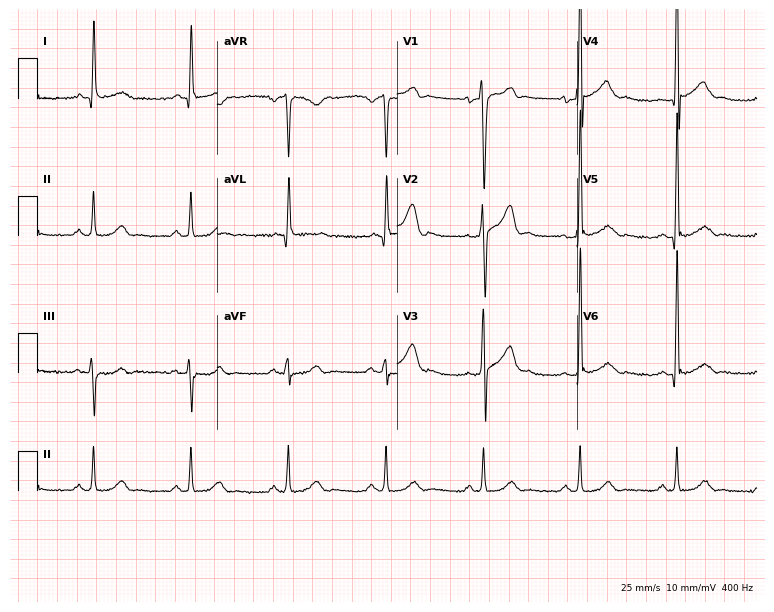
Resting 12-lead electrocardiogram. Patient: a 63-year-old male. None of these six findings is recorded: first-degree AV block, right bundle branch block, left bundle branch block, sinus bradycardia, atrial fibrillation, sinus tachycardia.